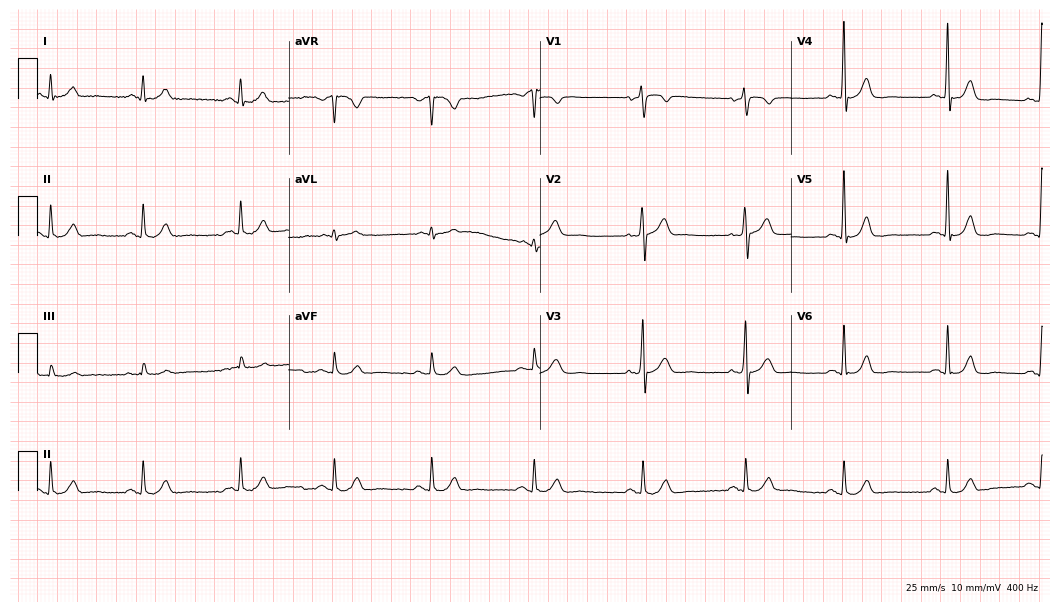
ECG — a 72-year-old man. Screened for six findings — first-degree AV block, right bundle branch block, left bundle branch block, sinus bradycardia, atrial fibrillation, sinus tachycardia — none is recorded. Only these six findings were labelled.